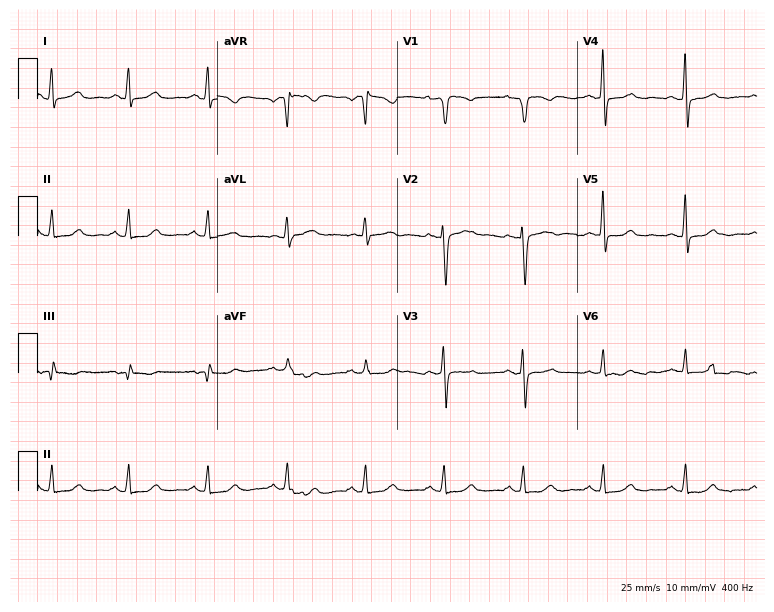
Standard 12-lead ECG recorded from a 45-year-old female patient (7.3-second recording at 400 Hz). Read as a normal ECG.